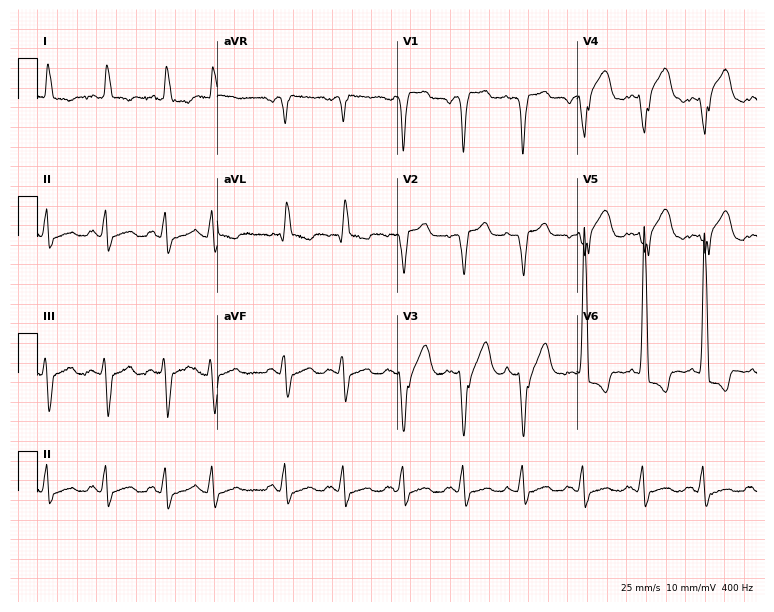
Electrocardiogram, a 71-year-old man. Of the six screened findings (first-degree AV block, right bundle branch block (RBBB), left bundle branch block (LBBB), sinus bradycardia, atrial fibrillation (AF), sinus tachycardia), none is recorded. Only these six findings were labelled.